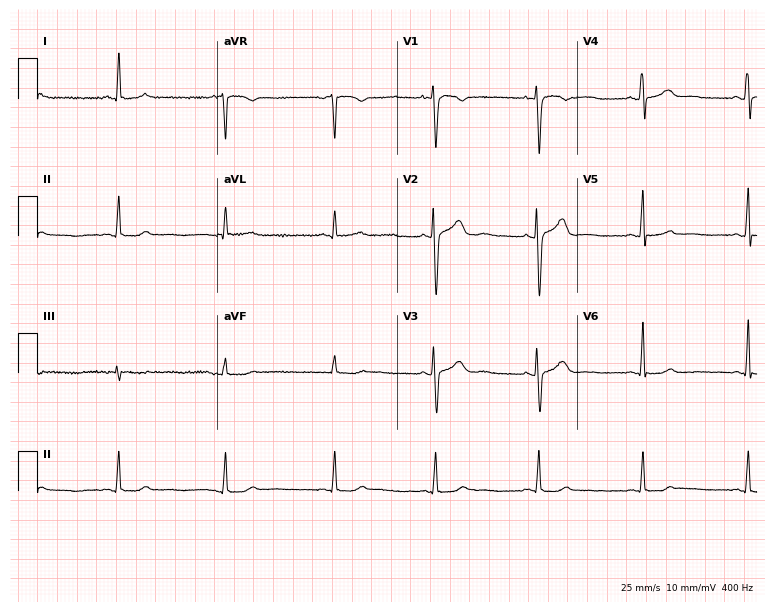
ECG — a woman, 32 years old. Screened for six findings — first-degree AV block, right bundle branch block (RBBB), left bundle branch block (LBBB), sinus bradycardia, atrial fibrillation (AF), sinus tachycardia — none is recorded.